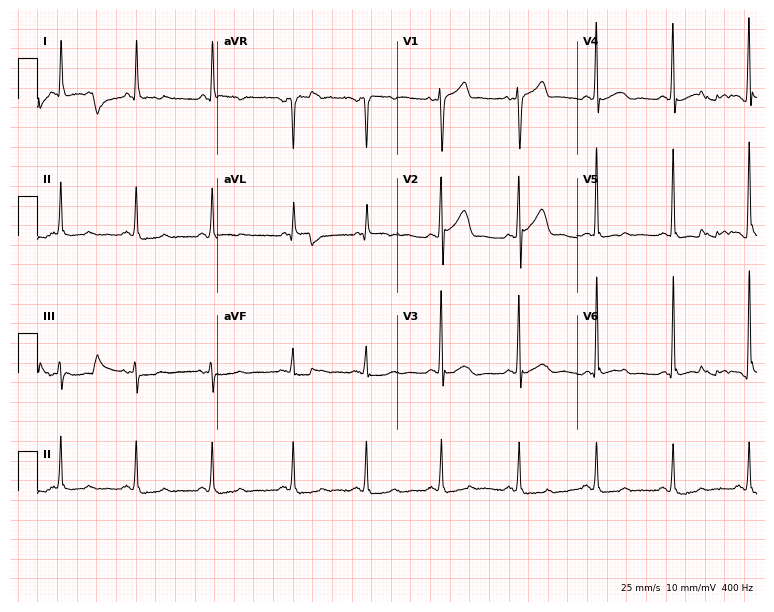
Resting 12-lead electrocardiogram. Patient: a male, 65 years old. None of these six findings is recorded: first-degree AV block, right bundle branch block, left bundle branch block, sinus bradycardia, atrial fibrillation, sinus tachycardia.